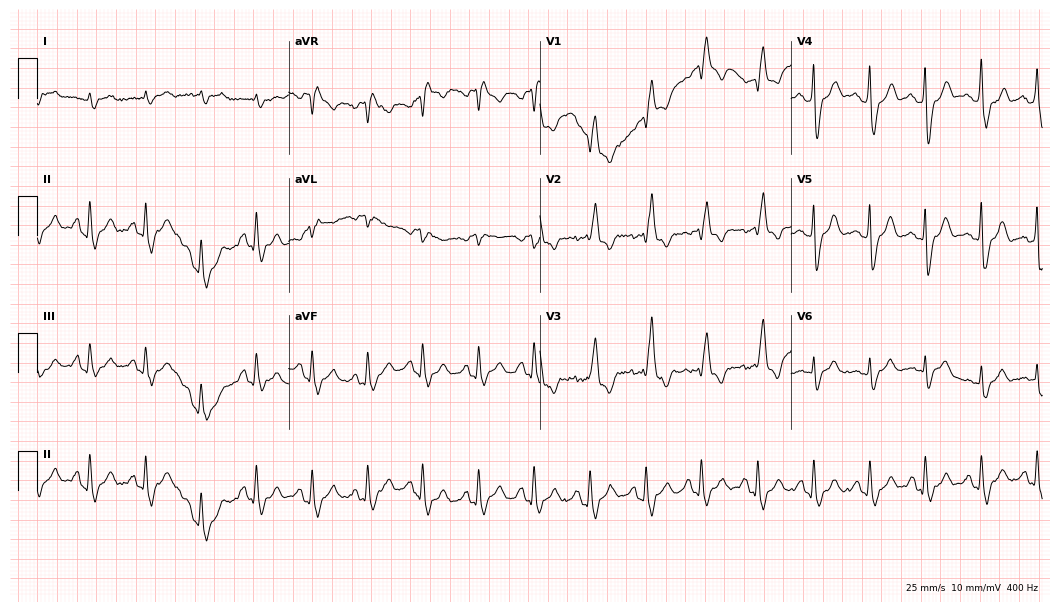
Standard 12-lead ECG recorded from an 80-year-old male patient (10.2-second recording at 400 Hz). The tracing shows sinus tachycardia (a sinus rate of 100 beats per minute or more).